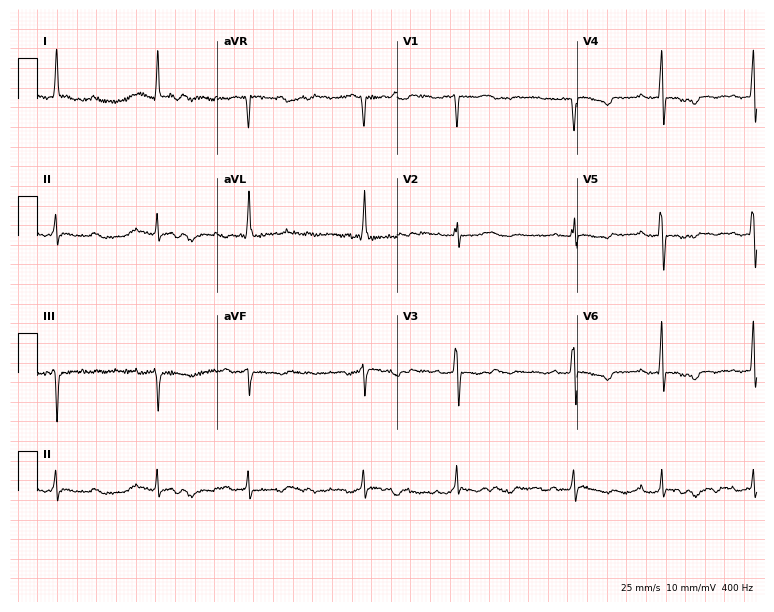
12-lead ECG from an 84-year-old female (7.3-second recording at 400 Hz). Shows atrial fibrillation (AF).